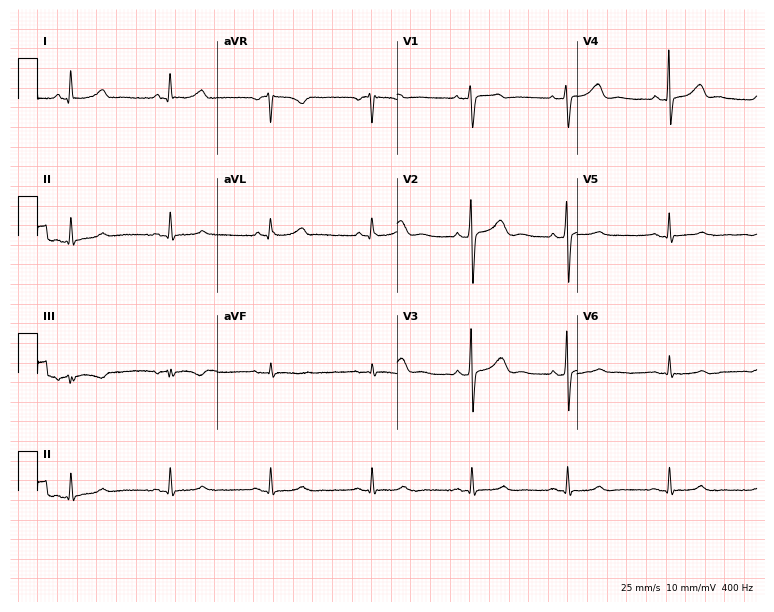
ECG (7.3-second recording at 400 Hz) — a woman, 36 years old. Screened for six findings — first-degree AV block, right bundle branch block, left bundle branch block, sinus bradycardia, atrial fibrillation, sinus tachycardia — none is recorded. Other findings, if any, are not listed.